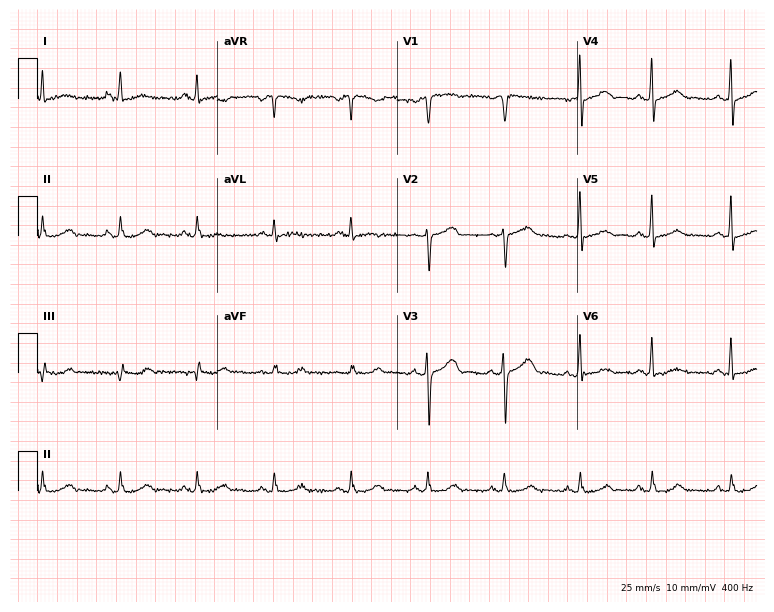
Resting 12-lead electrocardiogram (7.3-second recording at 400 Hz). Patient: a 61-year-old female. None of these six findings is recorded: first-degree AV block, right bundle branch block (RBBB), left bundle branch block (LBBB), sinus bradycardia, atrial fibrillation (AF), sinus tachycardia.